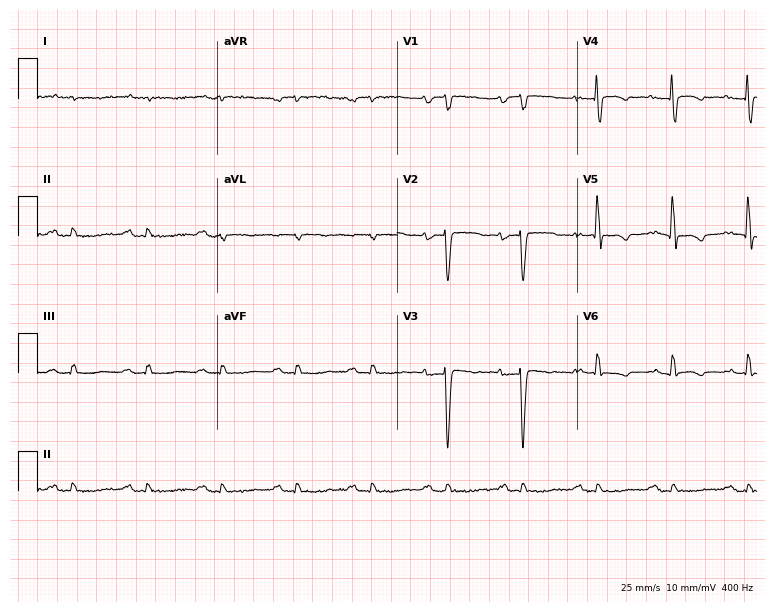
12-lead ECG (7.3-second recording at 400 Hz) from a man, 64 years old. Screened for six findings — first-degree AV block, right bundle branch block, left bundle branch block, sinus bradycardia, atrial fibrillation, sinus tachycardia — none is recorded. Only these six findings were labelled.